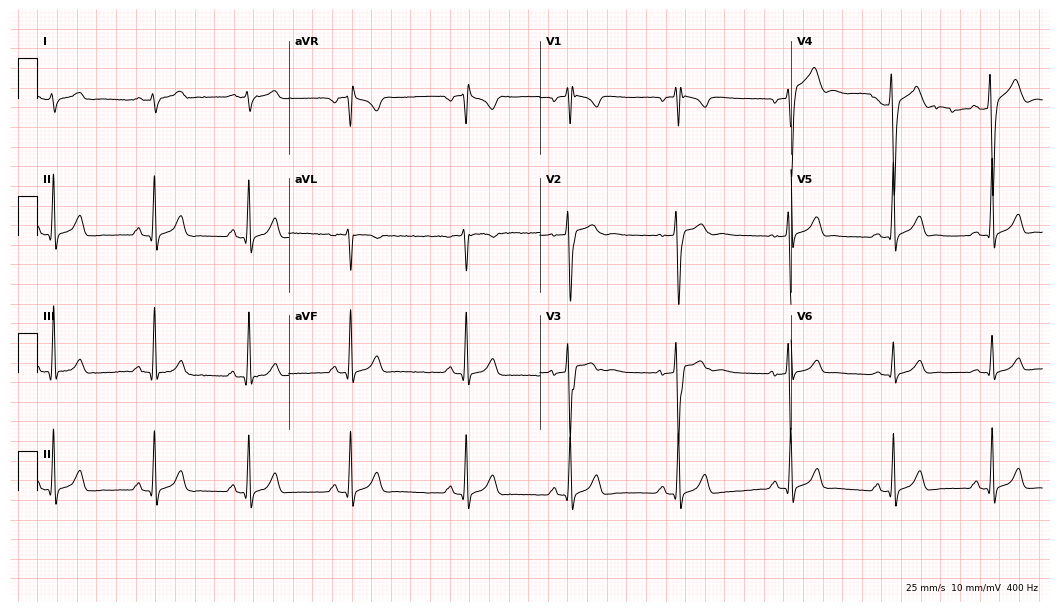
Standard 12-lead ECG recorded from a male patient, 37 years old (10.2-second recording at 400 Hz). None of these six findings is recorded: first-degree AV block, right bundle branch block (RBBB), left bundle branch block (LBBB), sinus bradycardia, atrial fibrillation (AF), sinus tachycardia. Other findings, if any, are not listed.